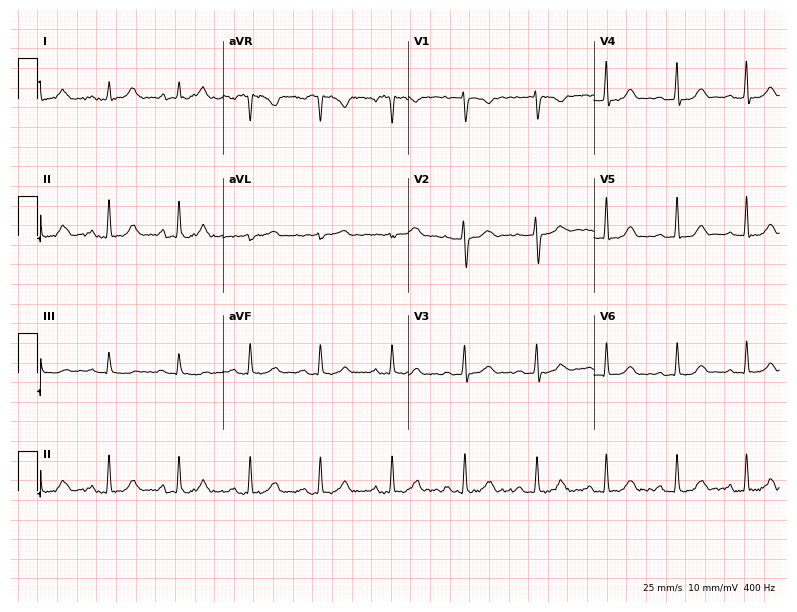
12-lead ECG from a woman, 37 years old. Labelled as a normal ECG.